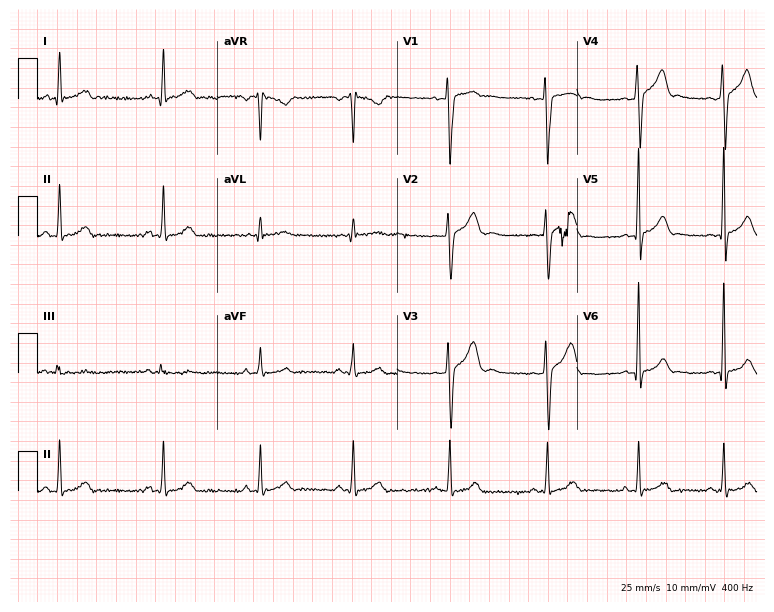
ECG — a man, 27 years old. Labelled as a normal ECG.